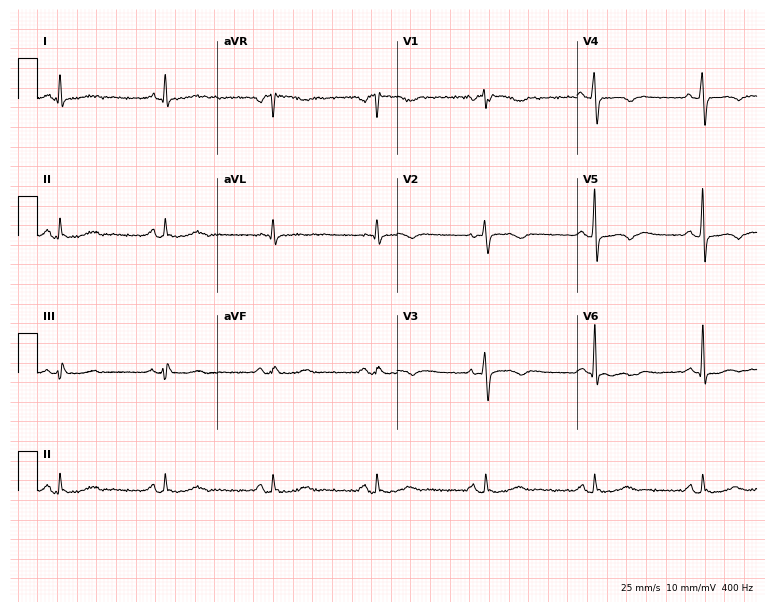
Electrocardiogram, a female, 64 years old. Overall reading on record: normal ECG.